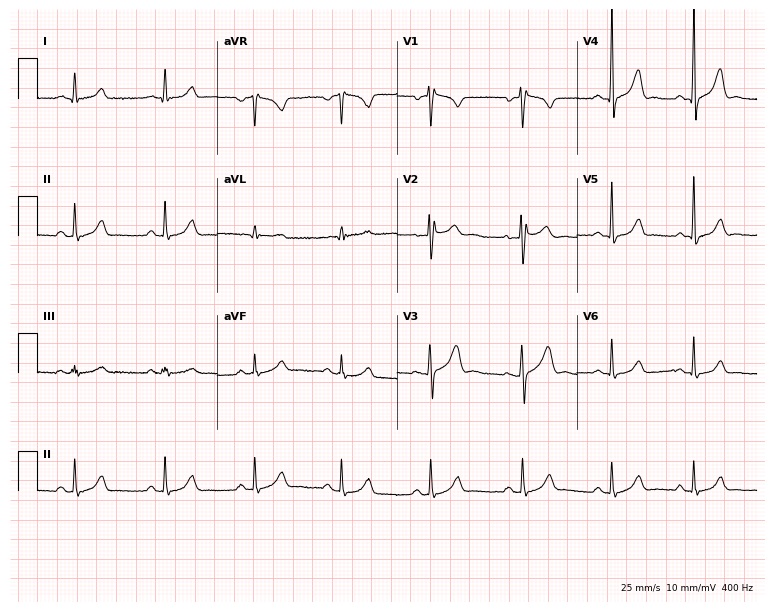
Electrocardiogram (7.3-second recording at 400 Hz), a 43-year-old man. Of the six screened findings (first-degree AV block, right bundle branch block (RBBB), left bundle branch block (LBBB), sinus bradycardia, atrial fibrillation (AF), sinus tachycardia), none is recorded.